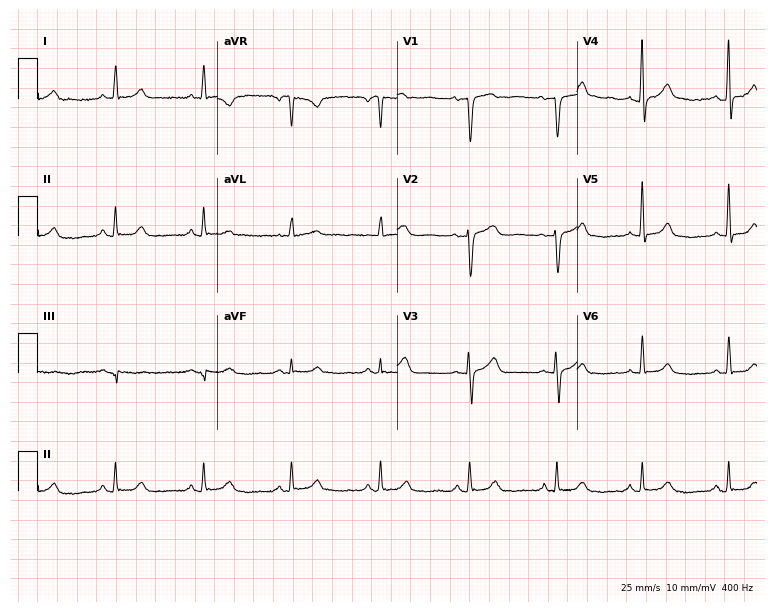
12-lead ECG from a 65-year-old female patient. Screened for six findings — first-degree AV block, right bundle branch block, left bundle branch block, sinus bradycardia, atrial fibrillation, sinus tachycardia — none is recorded.